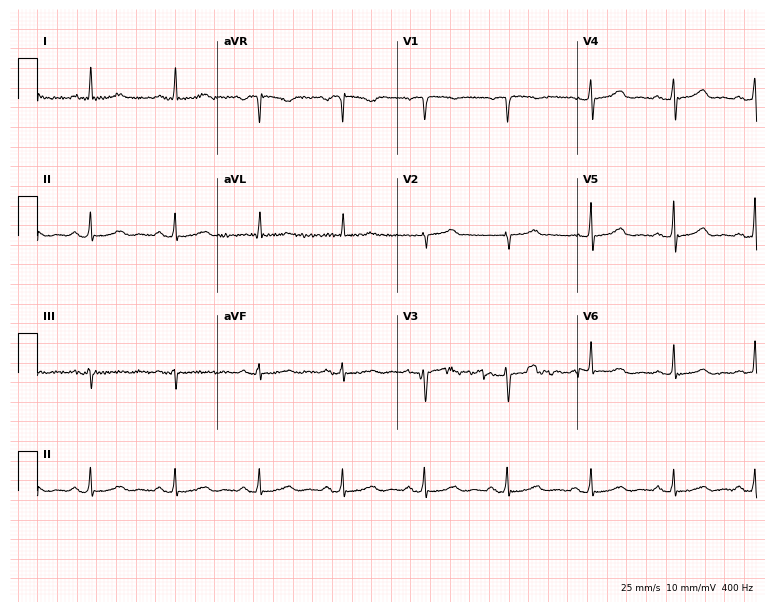
Resting 12-lead electrocardiogram (7.3-second recording at 400 Hz). Patient: a female, 58 years old. None of these six findings is recorded: first-degree AV block, right bundle branch block, left bundle branch block, sinus bradycardia, atrial fibrillation, sinus tachycardia. Only these six findings were labelled.